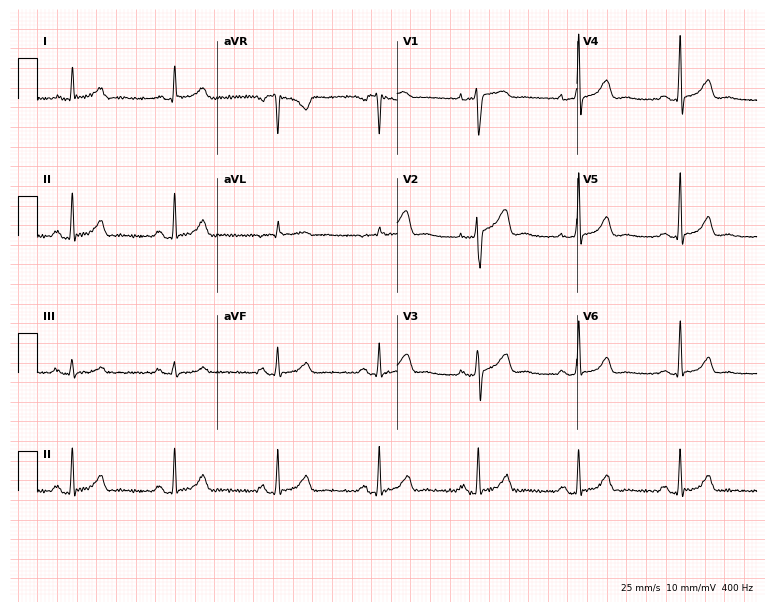
Standard 12-lead ECG recorded from an 18-year-old woman (7.3-second recording at 400 Hz). Read as a normal ECG.